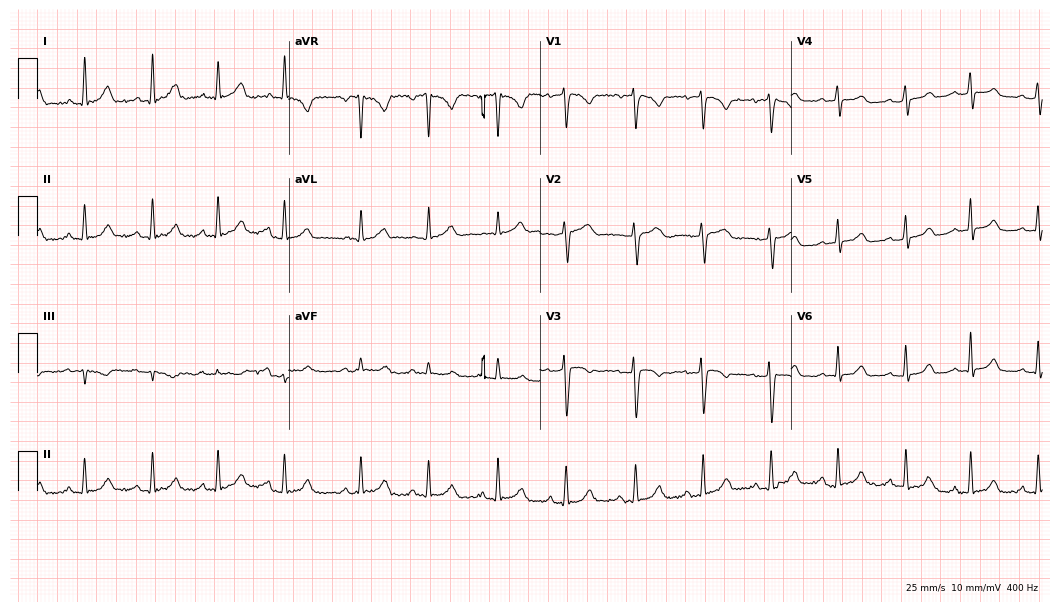
Standard 12-lead ECG recorded from a 36-year-old female (10.2-second recording at 400 Hz). Read as a normal ECG.